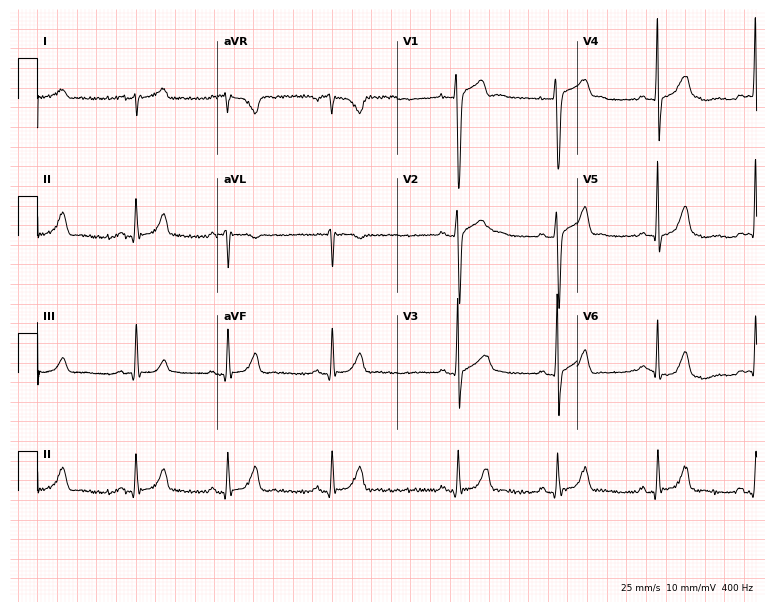
ECG (7.3-second recording at 400 Hz) — a male, 18 years old. Labelled as a normal ECG.